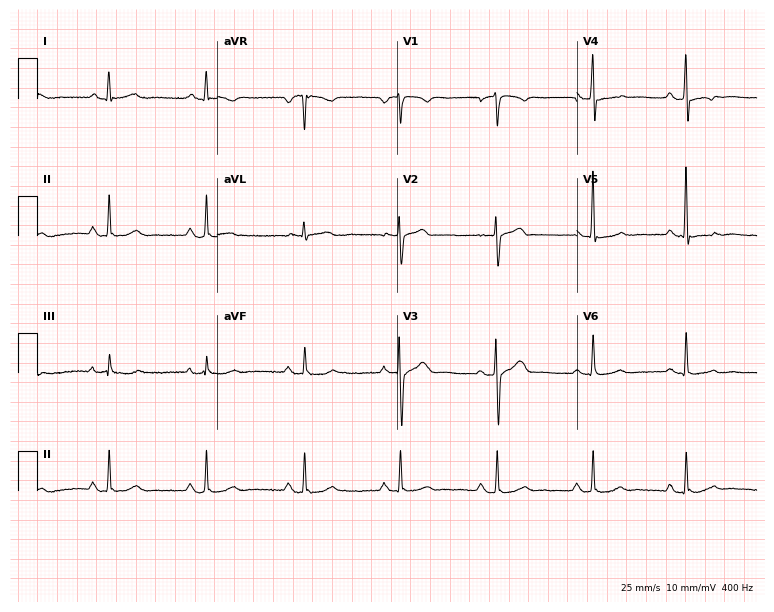
Standard 12-lead ECG recorded from a 72-year-old man. None of these six findings is recorded: first-degree AV block, right bundle branch block, left bundle branch block, sinus bradycardia, atrial fibrillation, sinus tachycardia. Other findings, if any, are not listed.